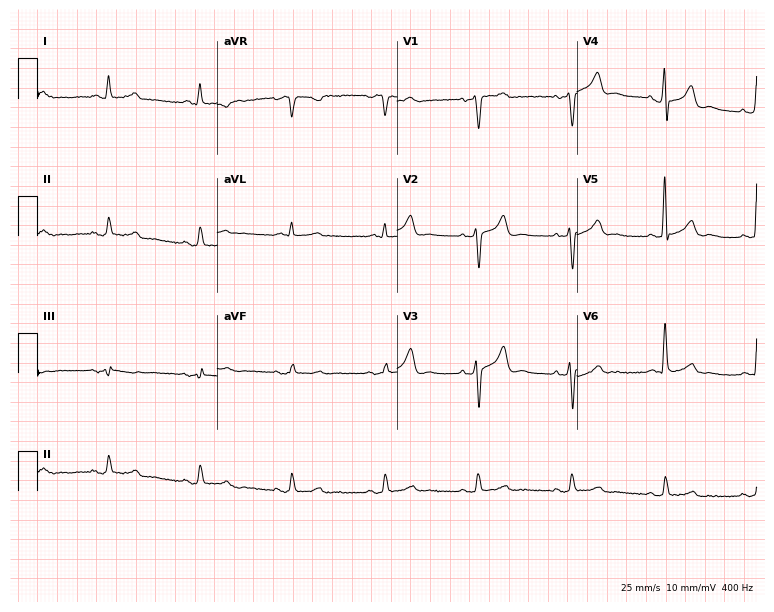
12-lead ECG from a female, 69 years old. Screened for six findings — first-degree AV block, right bundle branch block, left bundle branch block, sinus bradycardia, atrial fibrillation, sinus tachycardia — none is recorded.